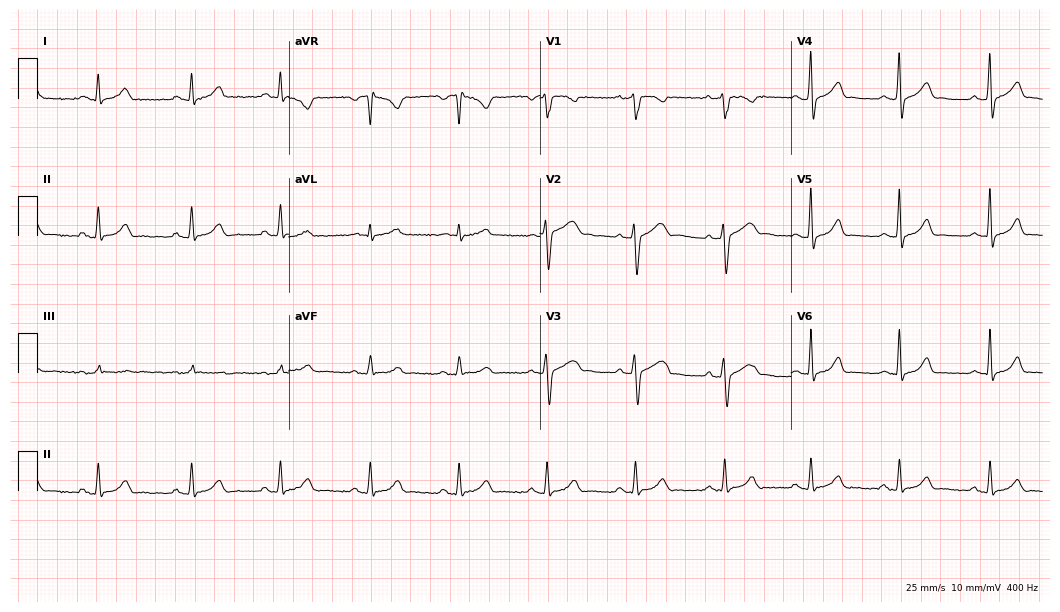
Electrocardiogram (10.2-second recording at 400 Hz), a 33-year-old woman. Overall reading on record: normal ECG.